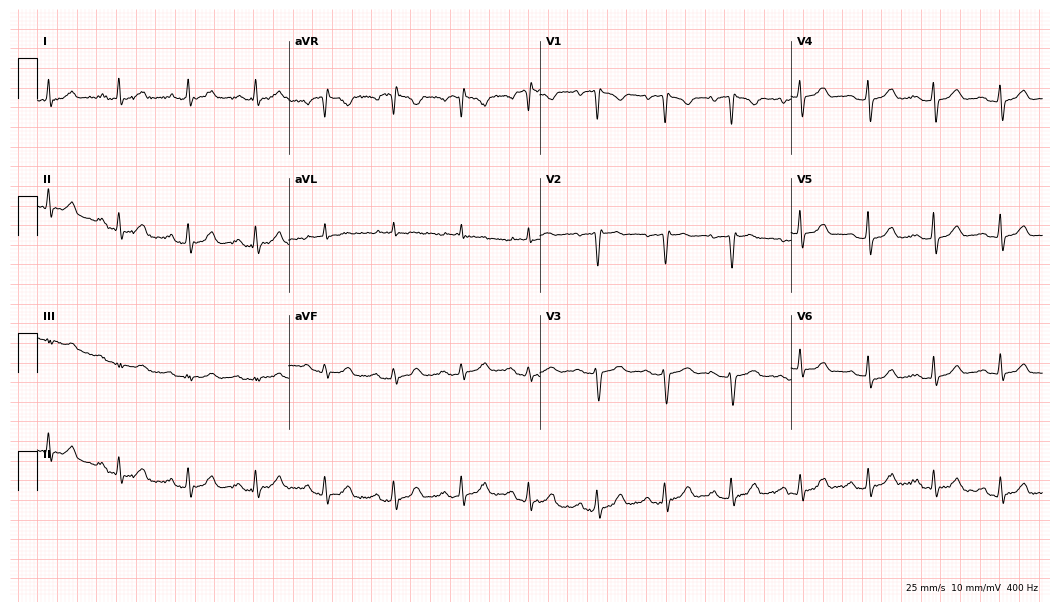
Resting 12-lead electrocardiogram. Patient: a 62-year-old female. None of these six findings is recorded: first-degree AV block, right bundle branch block, left bundle branch block, sinus bradycardia, atrial fibrillation, sinus tachycardia.